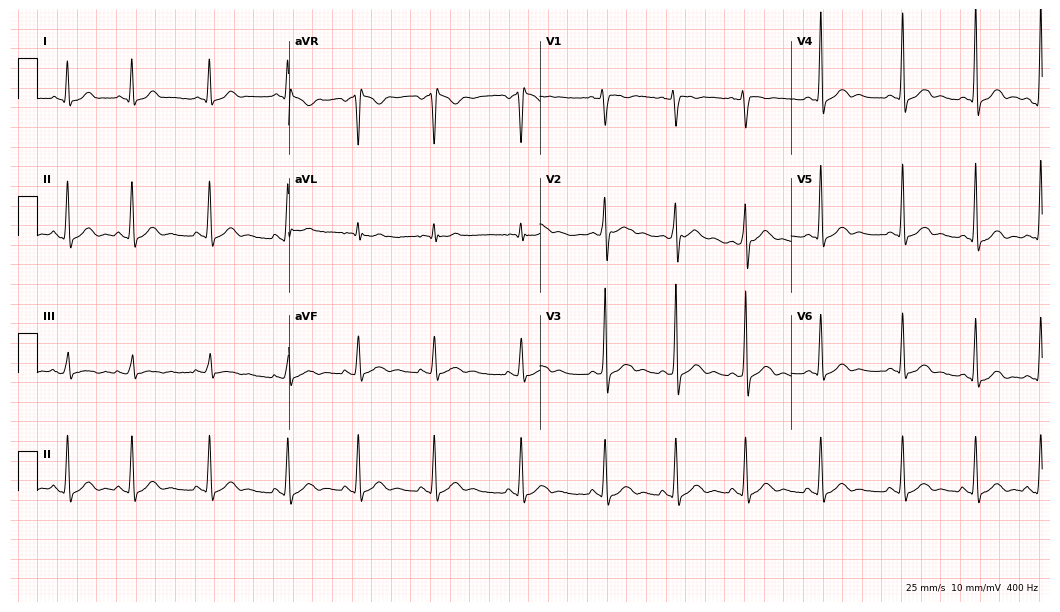
12-lead ECG from a male patient, 39 years old. No first-degree AV block, right bundle branch block (RBBB), left bundle branch block (LBBB), sinus bradycardia, atrial fibrillation (AF) or sinus tachycardia recorded for this tracing. Only these six findings were labelled.